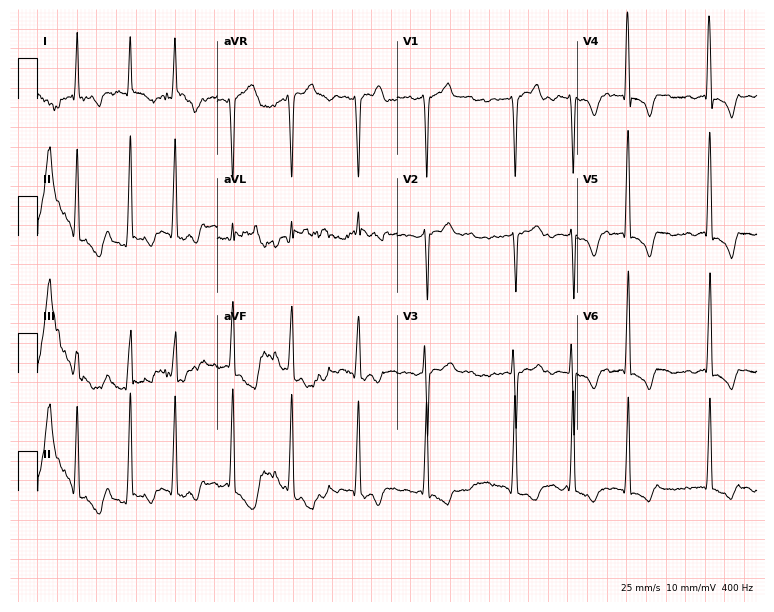
12-lead ECG from a female patient, 69 years old. Shows atrial fibrillation.